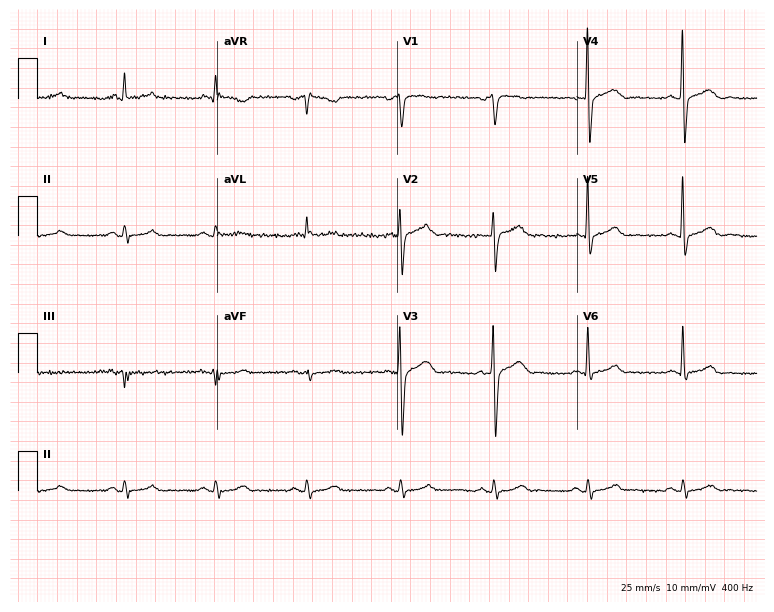
ECG — a 66-year-old female. Labelled as a normal ECG.